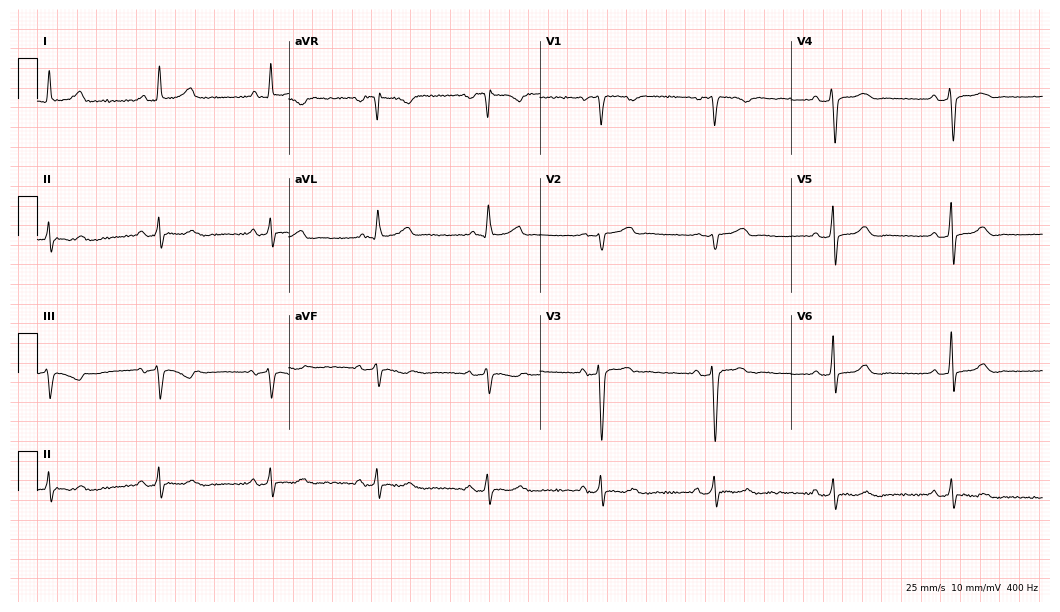
ECG (10.2-second recording at 400 Hz) — a 62-year-old female. Screened for six findings — first-degree AV block, right bundle branch block (RBBB), left bundle branch block (LBBB), sinus bradycardia, atrial fibrillation (AF), sinus tachycardia — none is recorded. Findings outside these six are not listed.